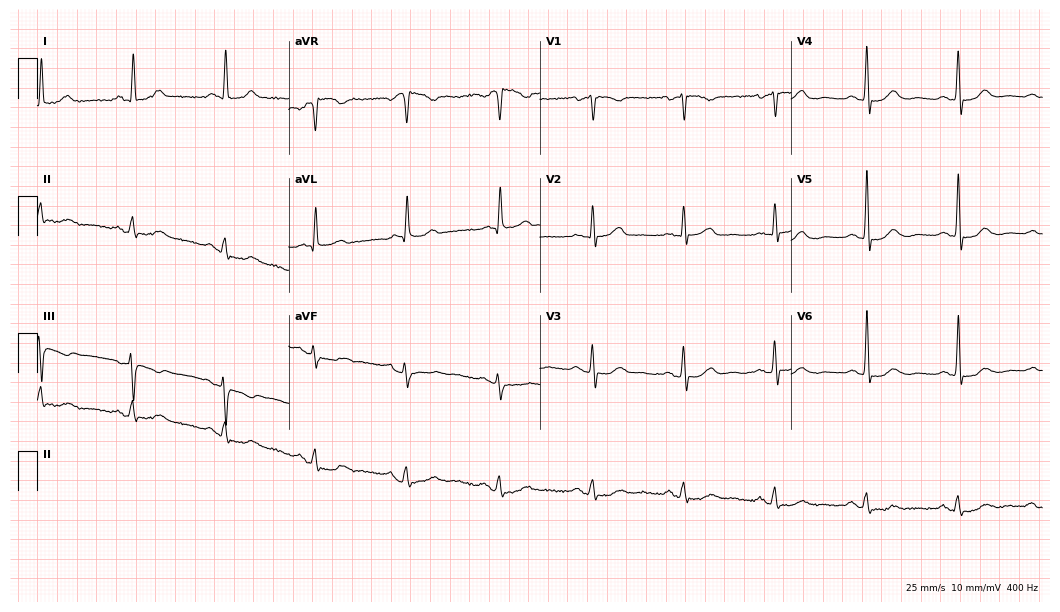
Electrocardiogram (10.2-second recording at 400 Hz), a female, 80 years old. Overall reading on record: normal ECG.